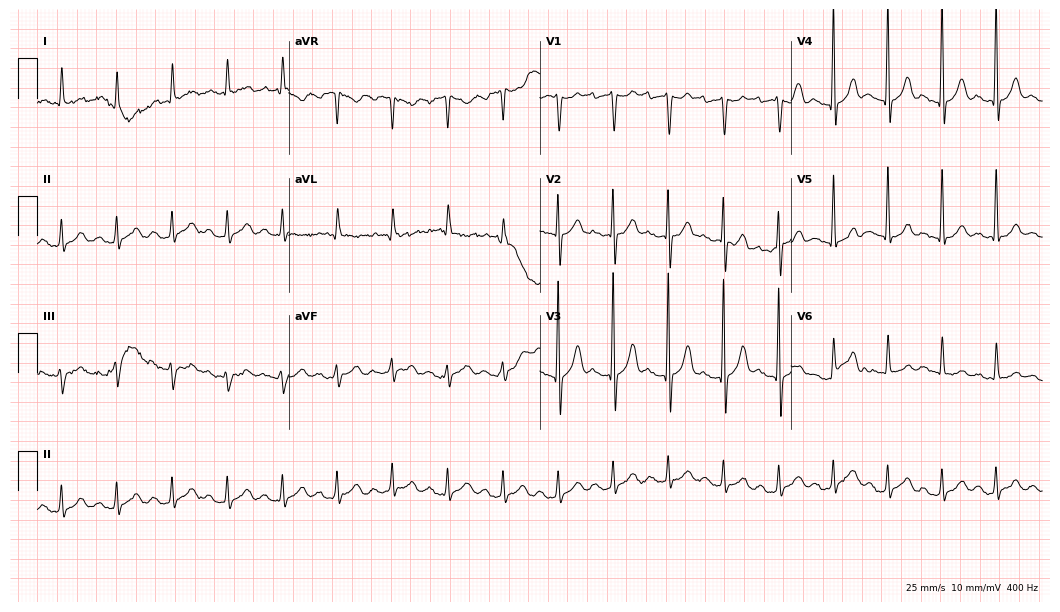
Standard 12-lead ECG recorded from a male, 72 years old. None of these six findings is recorded: first-degree AV block, right bundle branch block (RBBB), left bundle branch block (LBBB), sinus bradycardia, atrial fibrillation (AF), sinus tachycardia. Findings outside these six are not listed.